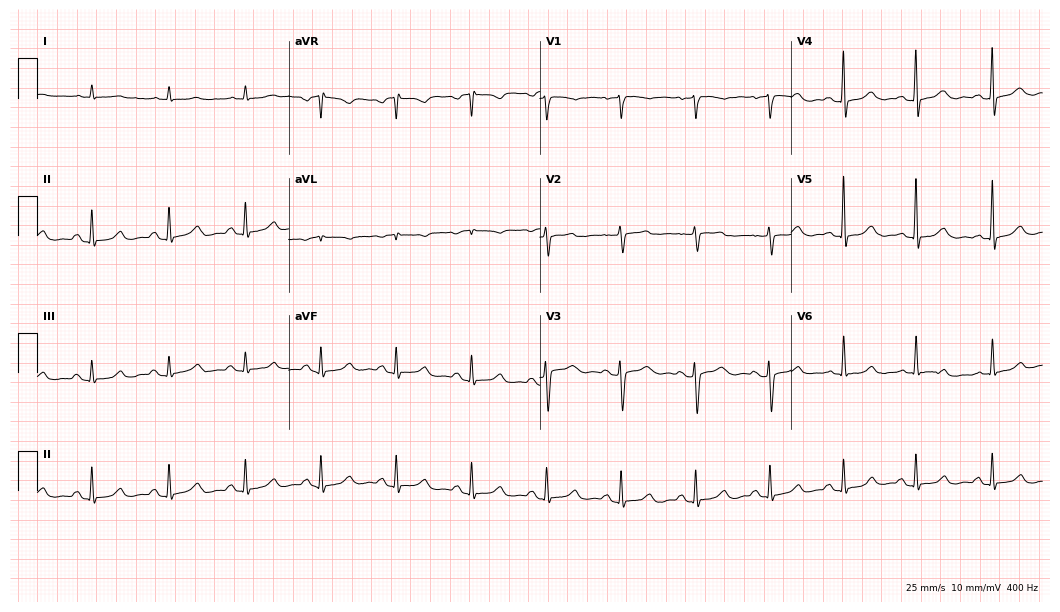
12-lead ECG (10.2-second recording at 400 Hz) from a man, 83 years old. Labelled as a normal ECG.